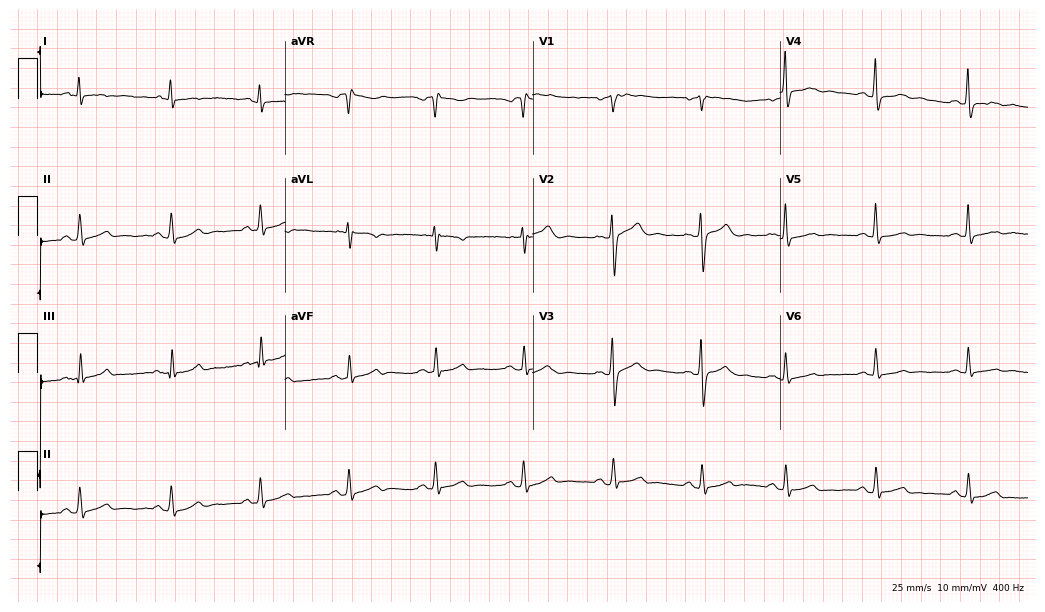
Electrocardiogram, a 51-year-old man. Overall reading on record: normal ECG.